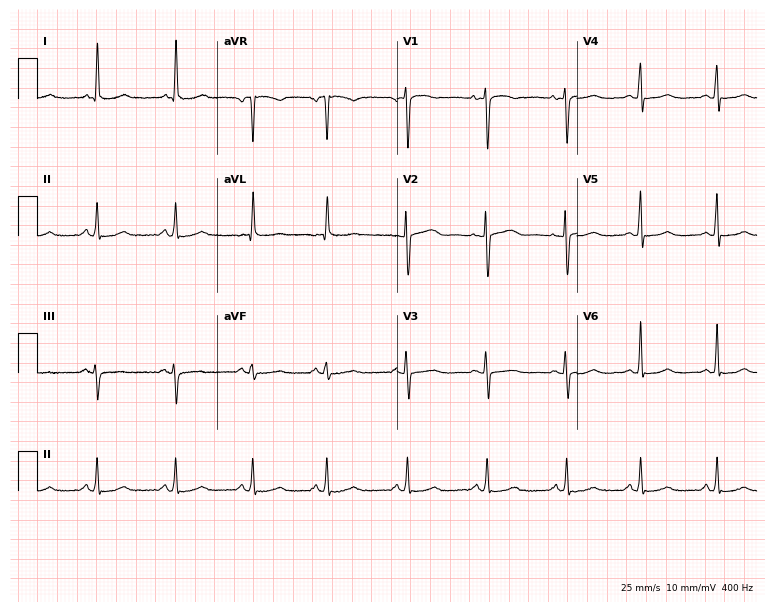
12-lead ECG from a 52-year-old female. Recorded interpretation: within normal limits.